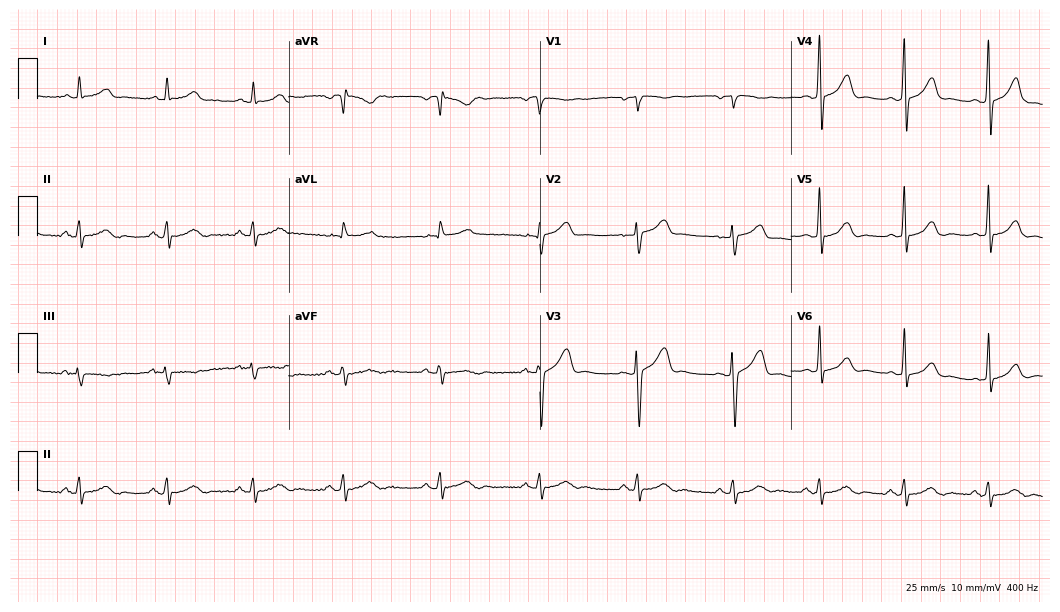
Electrocardiogram, a female, 34 years old. Of the six screened findings (first-degree AV block, right bundle branch block, left bundle branch block, sinus bradycardia, atrial fibrillation, sinus tachycardia), none is recorded. Other findings, if any, are not listed.